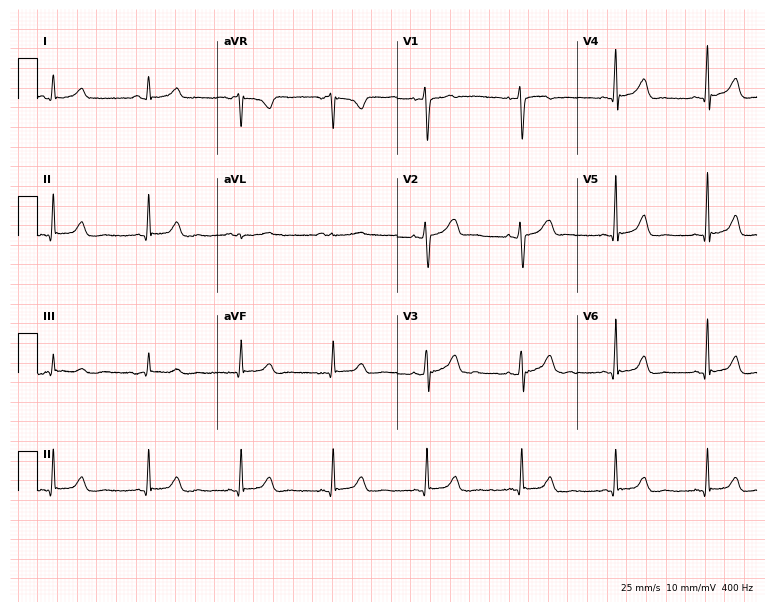
Standard 12-lead ECG recorded from a female, 52 years old (7.3-second recording at 400 Hz). Read as a normal ECG.